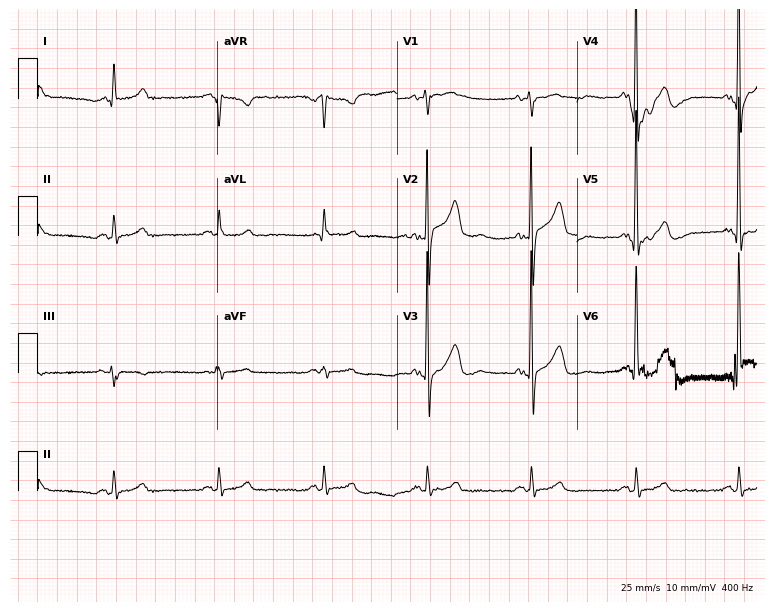
ECG — a 70-year-old man. Labelled as a normal ECG.